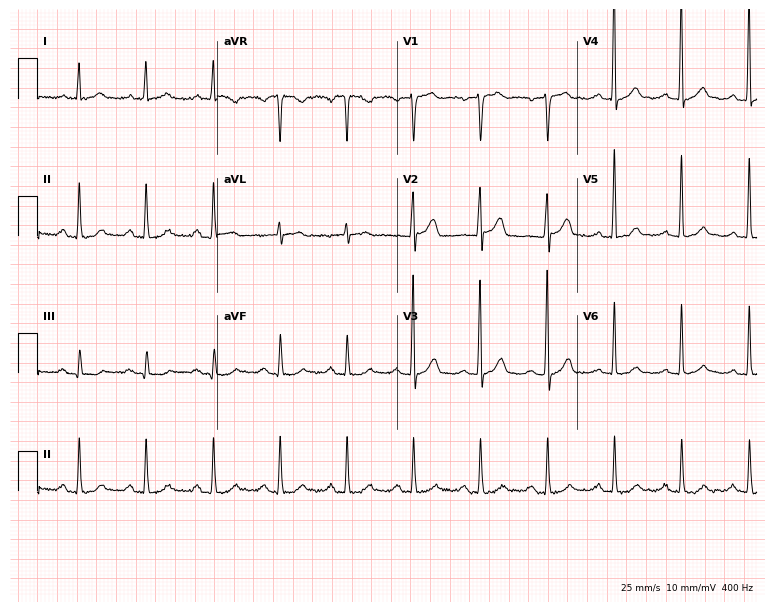
Standard 12-lead ECG recorded from a 71-year-old male patient. None of these six findings is recorded: first-degree AV block, right bundle branch block, left bundle branch block, sinus bradycardia, atrial fibrillation, sinus tachycardia.